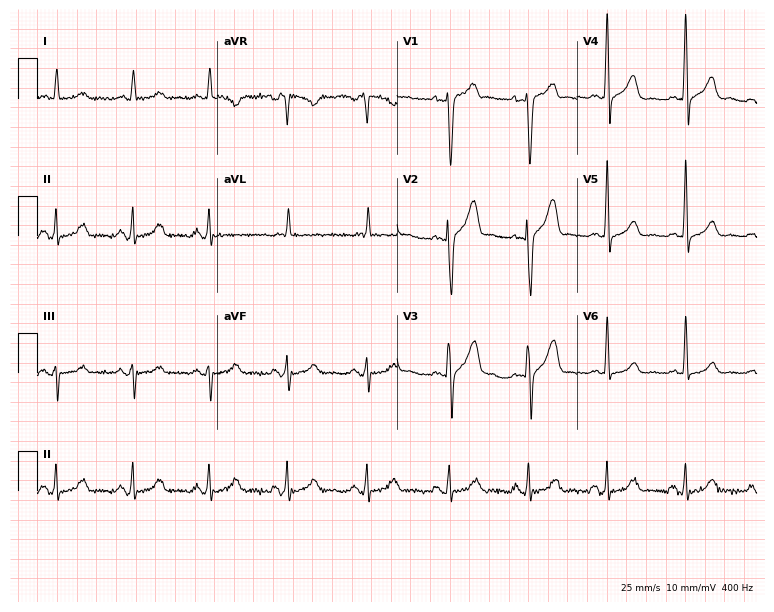
Resting 12-lead electrocardiogram (7.3-second recording at 400 Hz). Patient: a 43-year-old male. Read as a normal ECG.